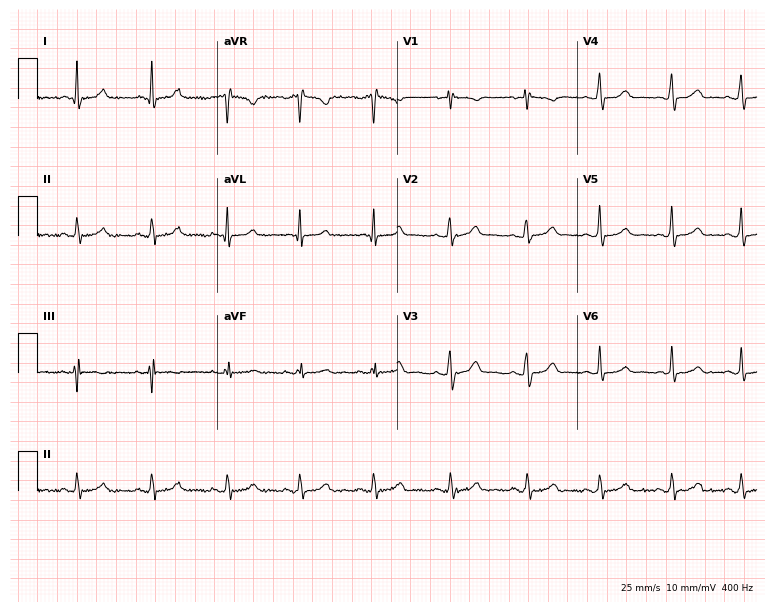
Standard 12-lead ECG recorded from a 29-year-old female patient. Read as a normal ECG.